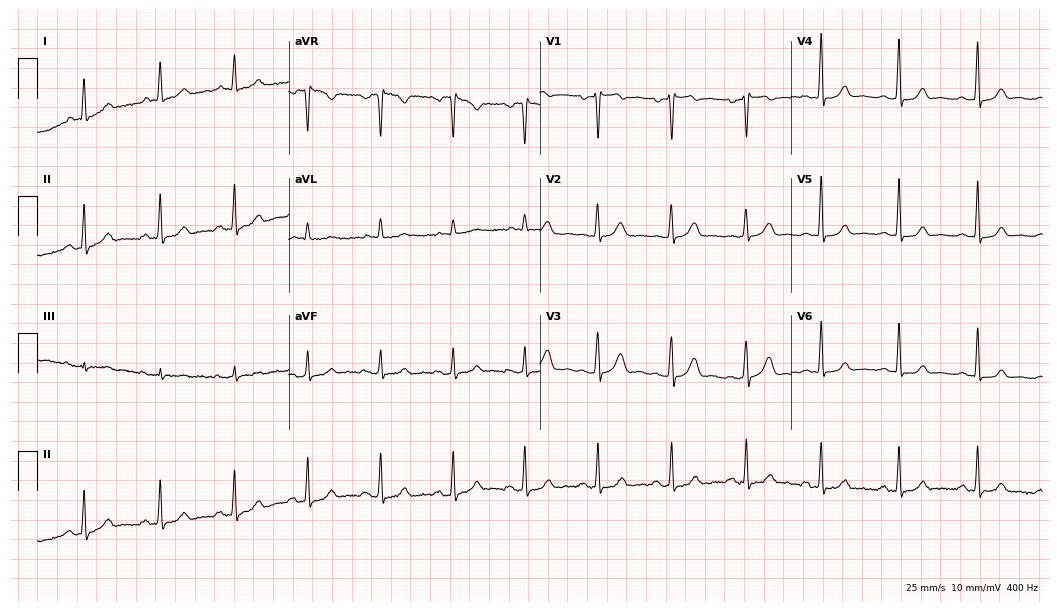
Resting 12-lead electrocardiogram (10.2-second recording at 400 Hz). Patient: a 45-year-old female. None of these six findings is recorded: first-degree AV block, right bundle branch block (RBBB), left bundle branch block (LBBB), sinus bradycardia, atrial fibrillation (AF), sinus tachycardia.